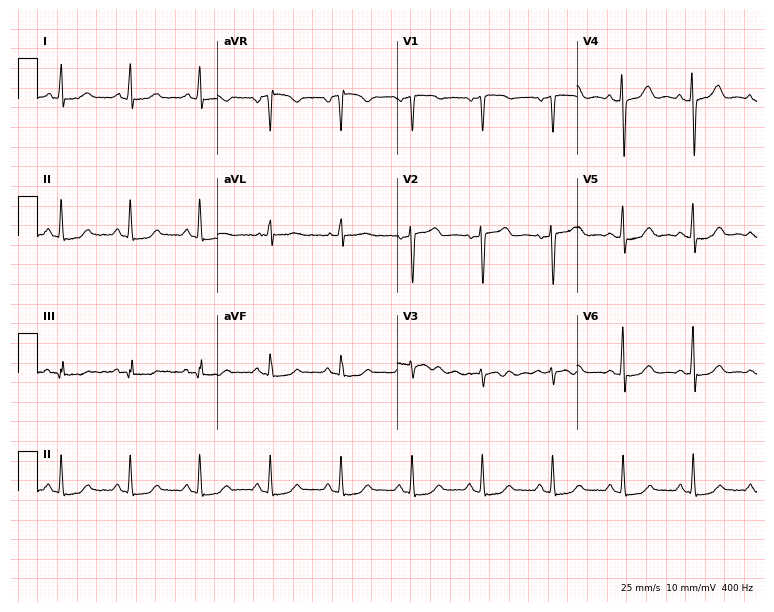
12-lead ECG from a female, 67 years old. Screened for six findings — first-degree AV block, right bundle branch block, left bundle branch block, sinus bradycardia, atrial fibrillation, sinus tachycardia — none is recorded.